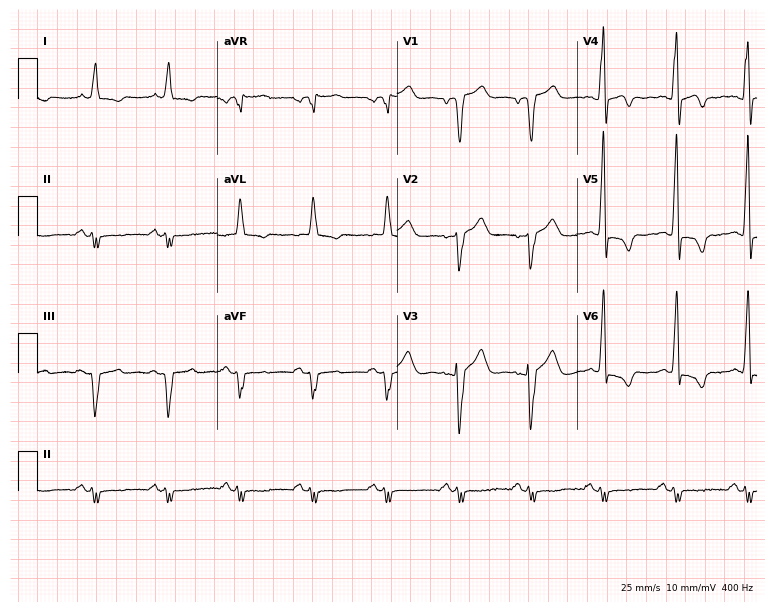
Electrocardiogram, an 83-year-old male patient. Of the six screened findings (first-degree AV block, right bundle branch block (RBBB), left bundle branch block (LBBB), sinus bradycardia, atrial fibrillation (AF), sinus tachycardia), none is recorded. Only these six findings were labelled.